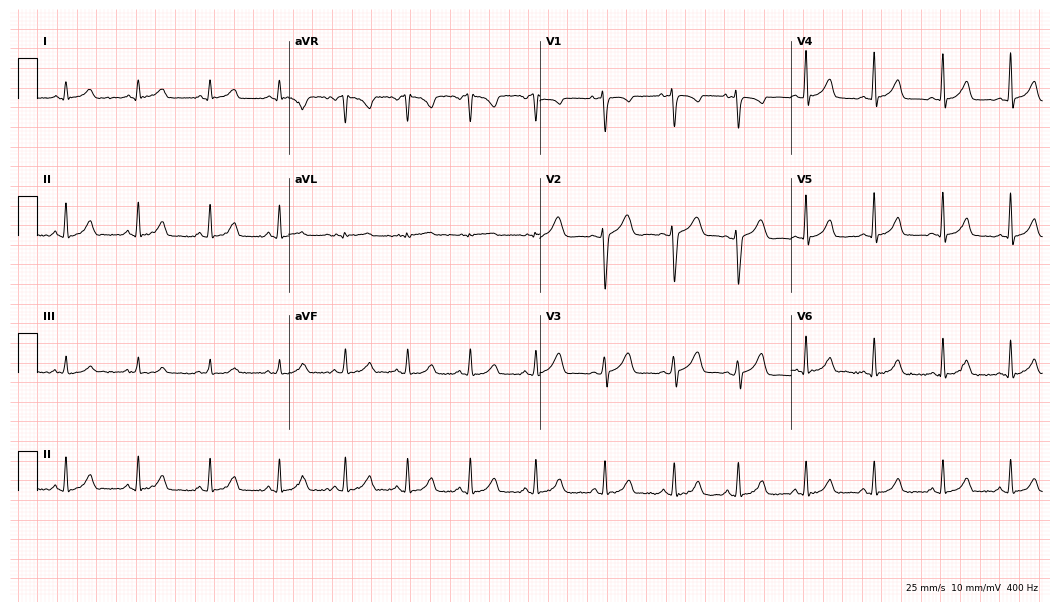
12-lead ECG (10.2-second recording at 400 Hz) from a 23-year-old female. Labelled as a normal ECG.